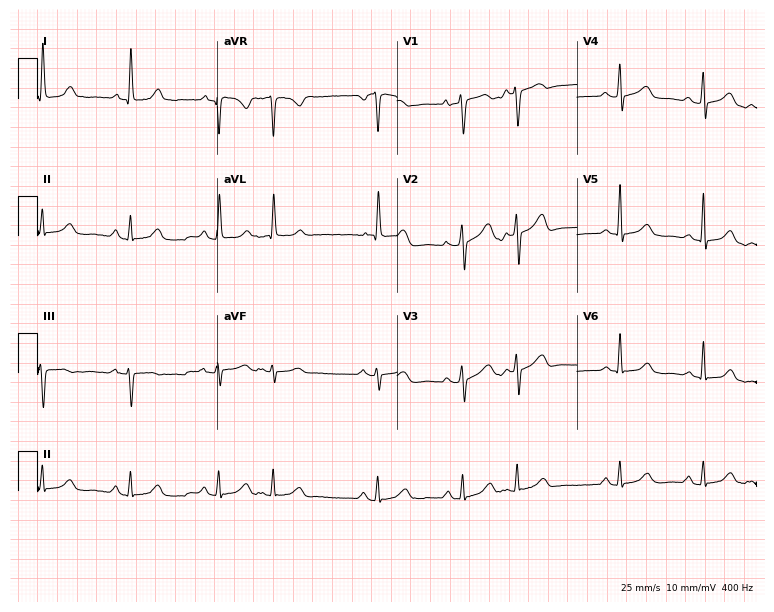
Resting 12-lead electrocardiogram. Patient: a female, 81 years old. None of these six findings is recorded: first-degree AV block, right bundle branch block, left bundle branch block, sinus bradycardia, atrial fibrillation, sinus tachycardia.